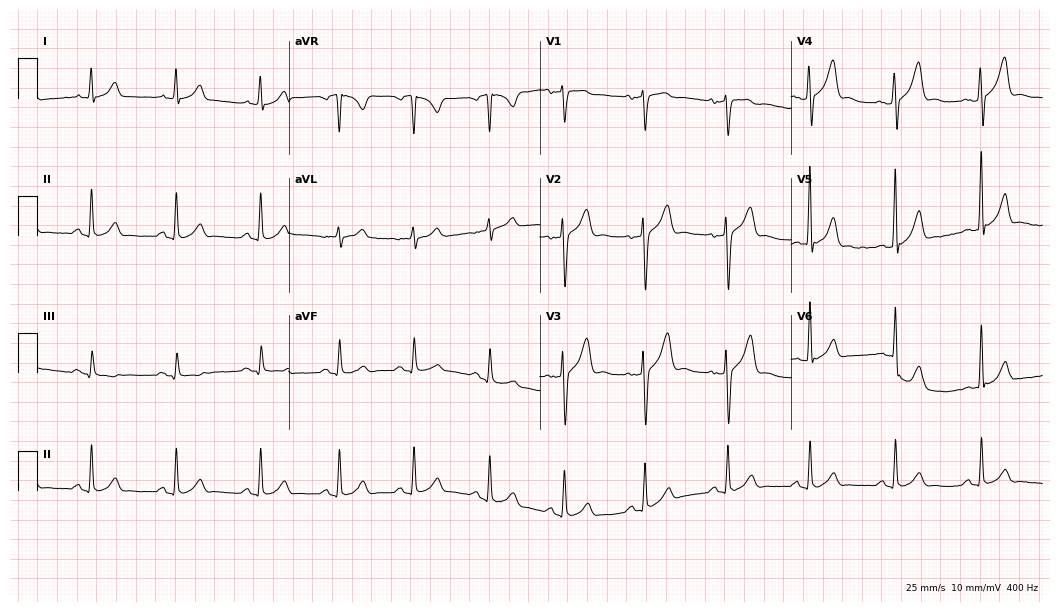
12-lead ECG (10.2-second recording at 400 Hz) from a 39-year-old male. Labelled as a normal ECG.